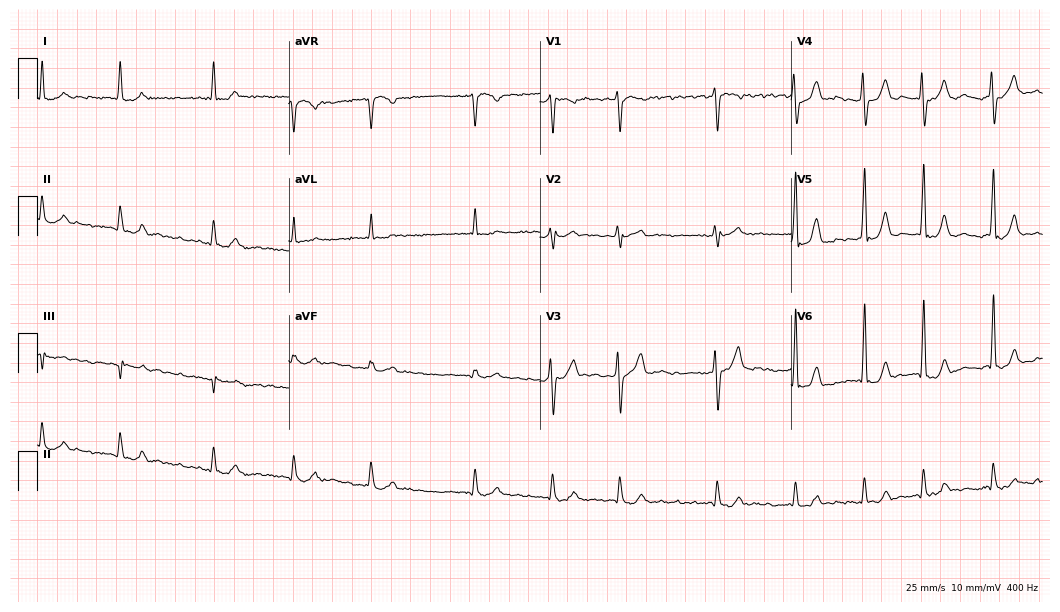
Standard 12-lead ECG recorded from a 71-year-old man (10.2-second recording at 400 Hz). The tracing shows atrial fibrillation (AF).